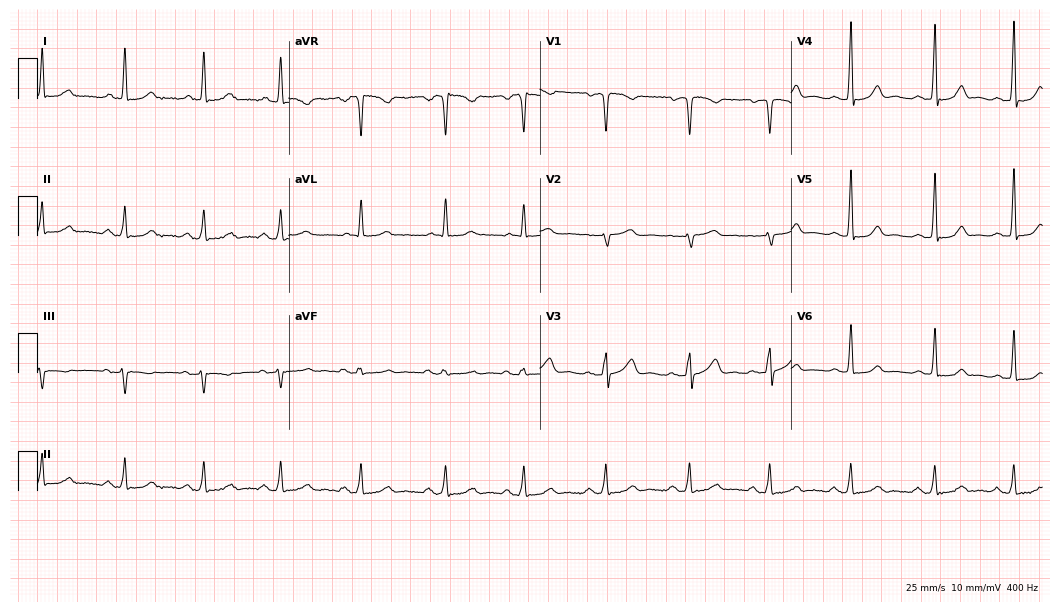
Standard 12-lead ECG recorded from a 48-year-old female. Read as a normal ECG.